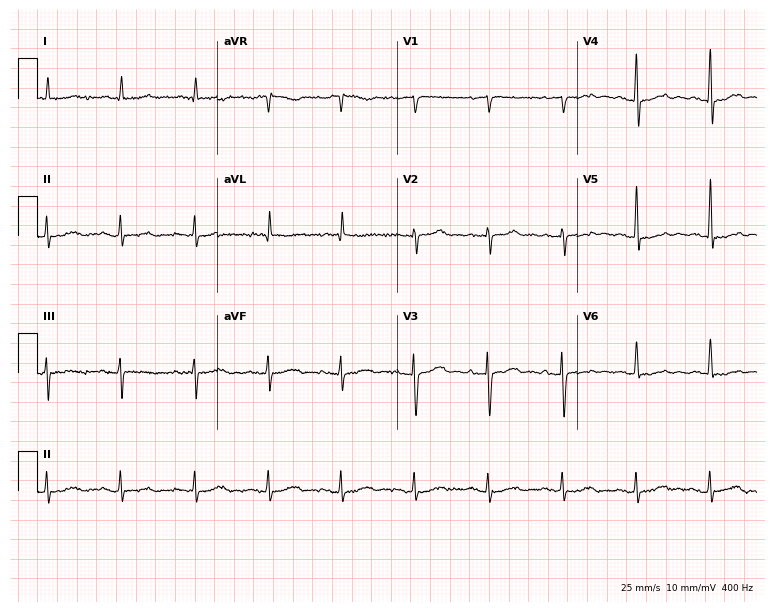
12-lead ECG from an 83-year-old female (7.3-second recording at 400 Hz). Recorded interpretation: within normal limits.